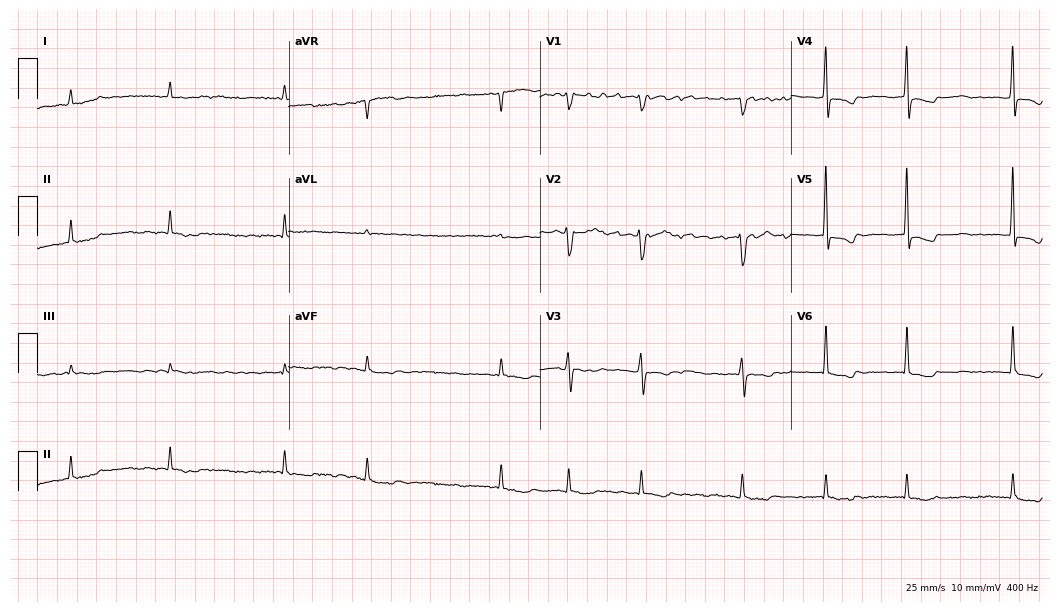
12-lead ECG from an 82-year-old woman. Shows atrial fibrillation (AF).